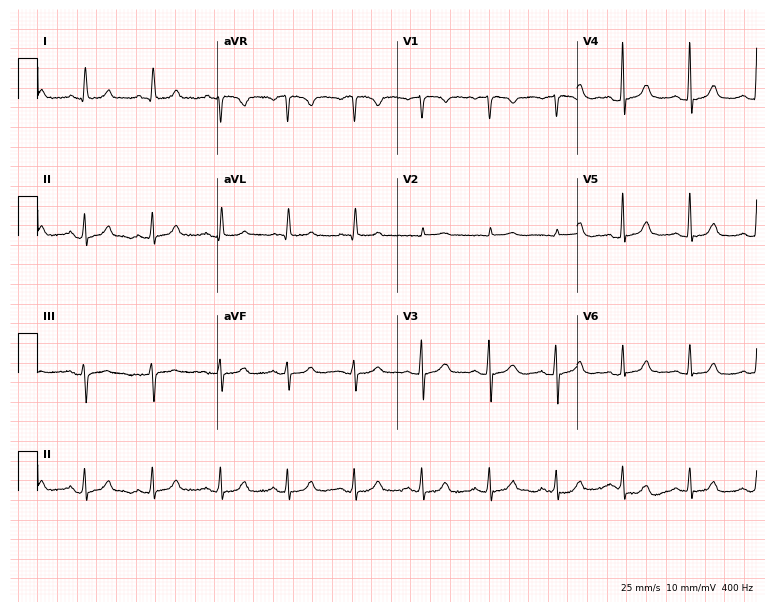
Electrocardiogram (7.3-second recording at 400 Hz), a 65-year-old woman. Overall reading on record: normal ECG.